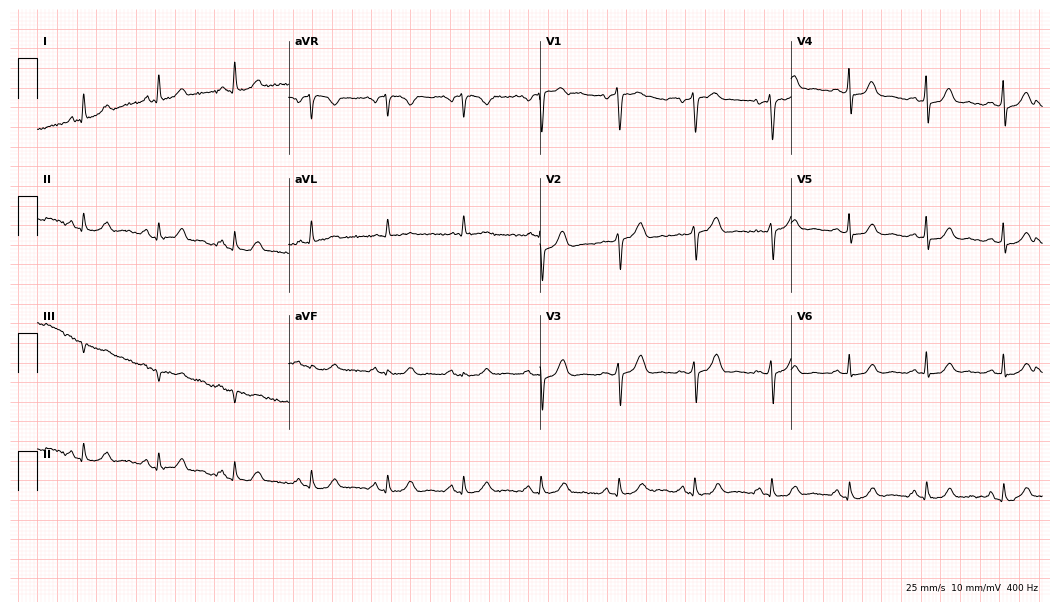
12-lead ECG from a 57-year-old female patient (10.2-second recording at 400 Hz). No first-degree AV block, right bundle branch block (RBBB), left bundle branch block (LBBB), sinus bradycardia, atrial fibrillation (AF) or sinus tachycardia recorded for this tracing. Other findings, if any, are not listed.